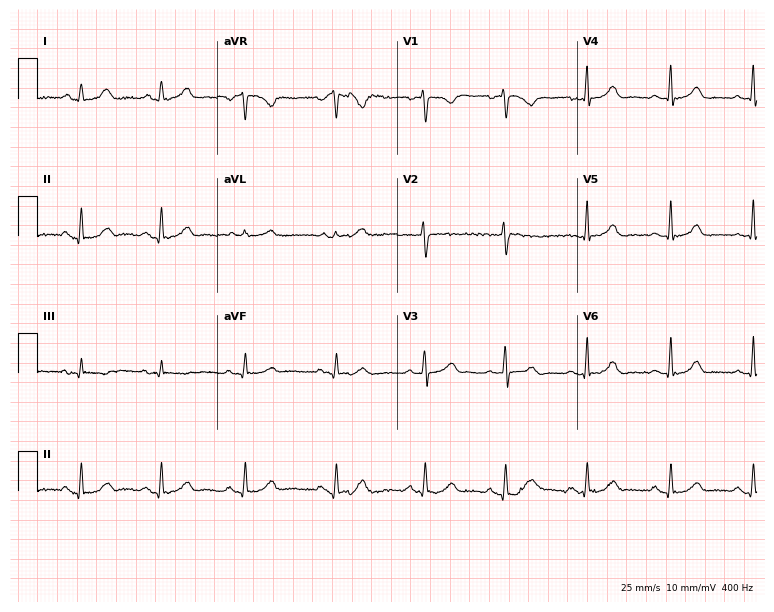
12-lead ECG from a female, 37 years old (7.3-second recording at 400 Hz). Recorded interpretation: within normal limits.